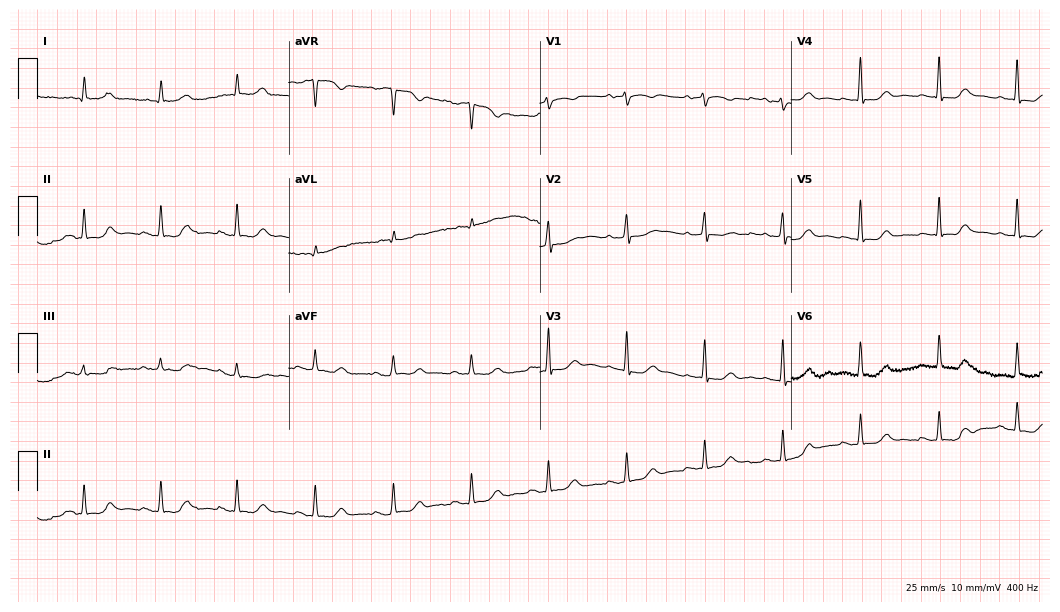
Standard 12-lead ECG recorded from a 79-year-old female. None of these six findings is recorded: first-degree AV block, right bundle branch block (RBBB), left bundle branch block (LBBB), sinus bradycardia, atrial fibrillation (AF), sinus tachycardia.